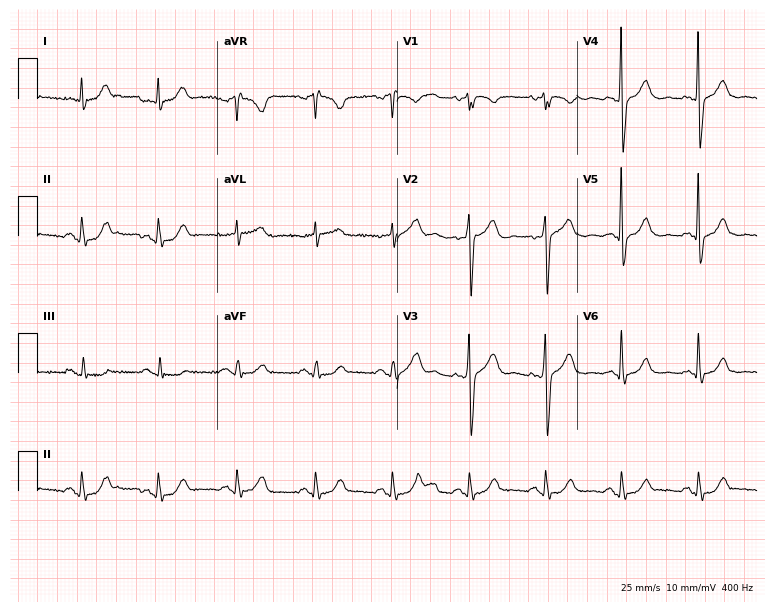
ECG — a man, 62 years old. Labelled as a normal ECG.